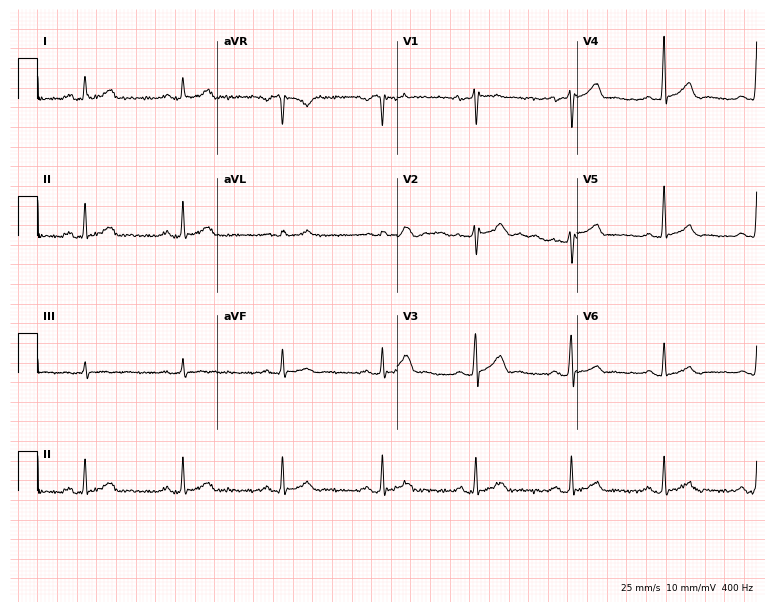
Standard 12-lead ECG recorded from a 28-year-old man (7.3-second recording at 400 Hz). None of these six findings is recorded: first-degree AV block, right bundle branch block (RBBB), left bundle branch block (LBBB), sinus bradycardia, atrial fibrillation (AF), sinus tachycardia.